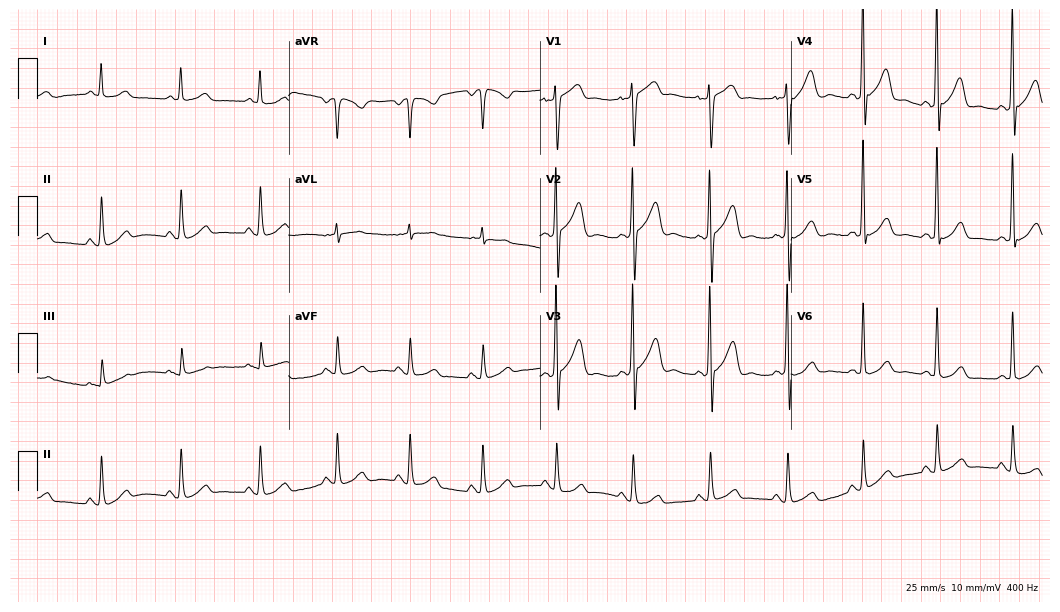
12-lead ECG (10.2-second recording at 400 Hz) from a 56-year-old woman. Labelled as a normal ECG.